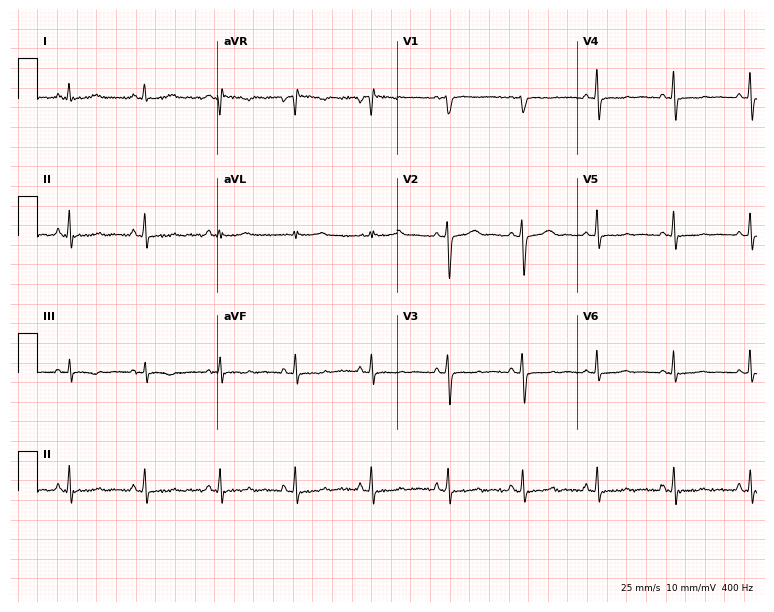
Resting 12-lead electrocardiogram. Patient: a female, 74 years old. None of these six findings is recorded: first-degree AV block, right bundle branch block (RBBB), left bundle branch block (LBBB), sinus bradycardia, atrial fibrillation (AF), sinus tachycardia. Only these six findings were labelled.